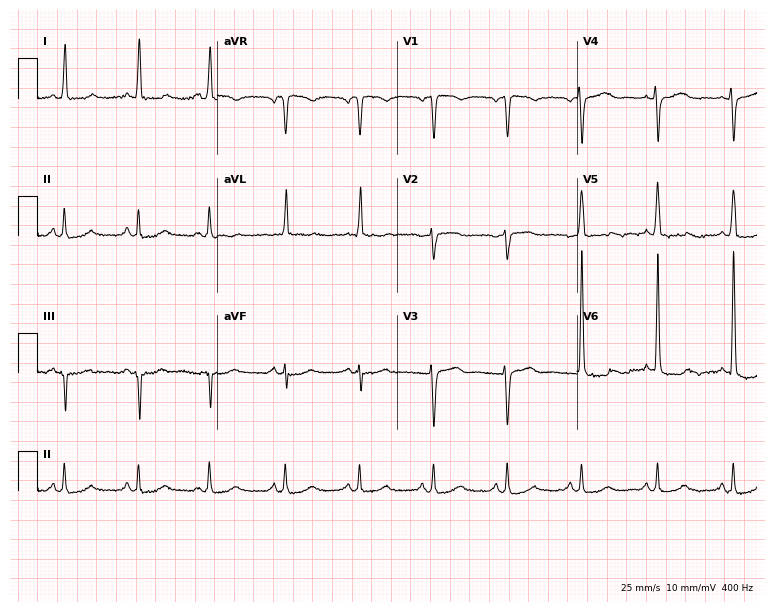
Resting 12-lead electrocardiogram (7.3-second recording at 400 Hz). Patient: an 81-year-old female. None of these six findings is recorded: first-degree AV block, right bundle branch block, left bundle branch block, sinus bradycardia, atrial fibrillation, sinus tachycardia. Other findings, if any, are not listed.